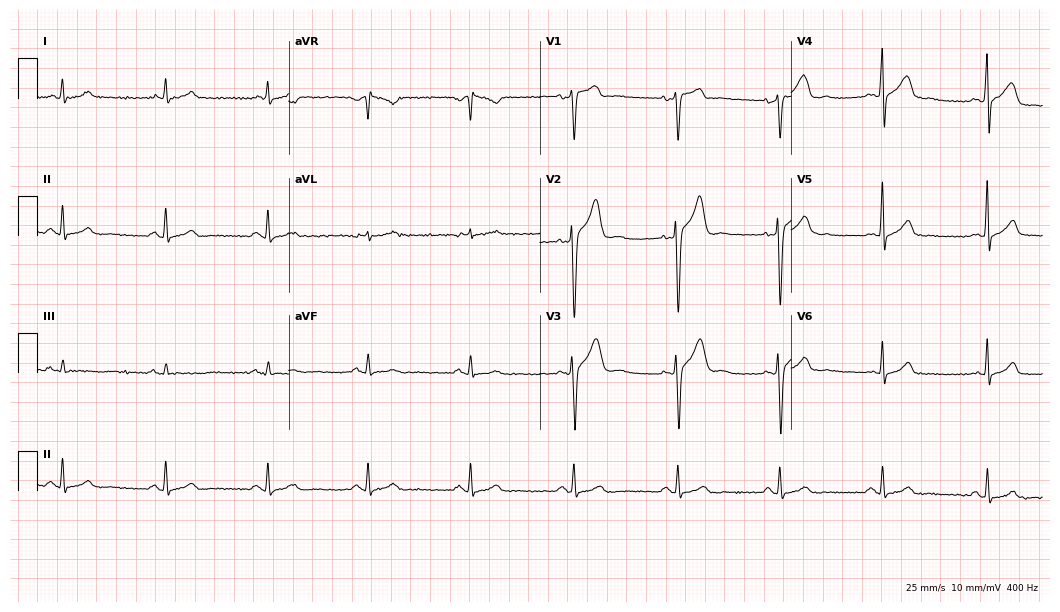
12-lead ECG from a 70-year-old male patient (10.2-second recording at 400 Hz). Recorded interpretation: within normal limits.